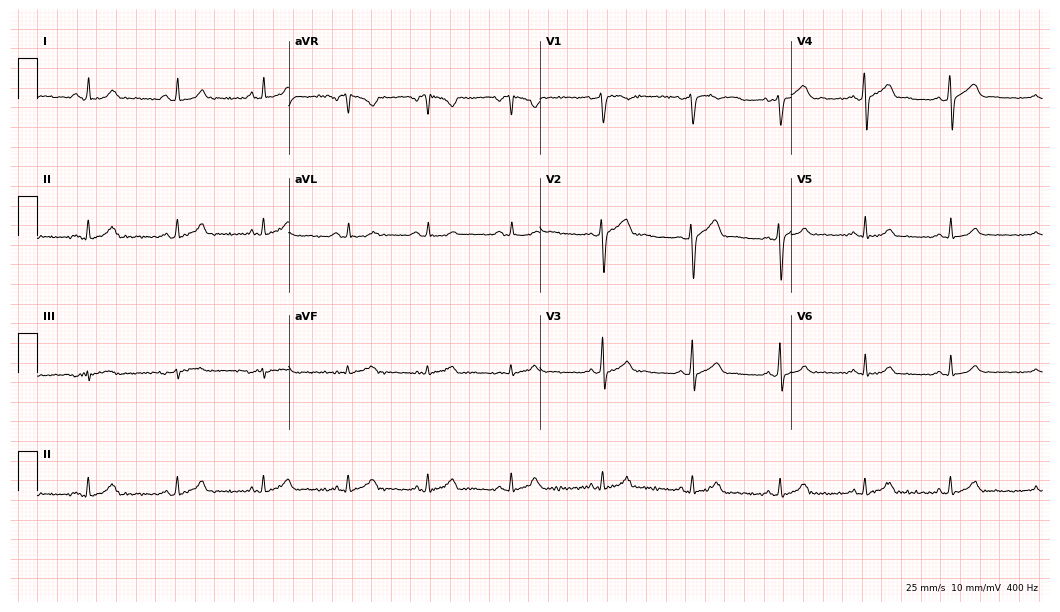
ECG (10.2-second recording at 400 Hz) — a 25-year-old man. Labelled as a normal ECG.